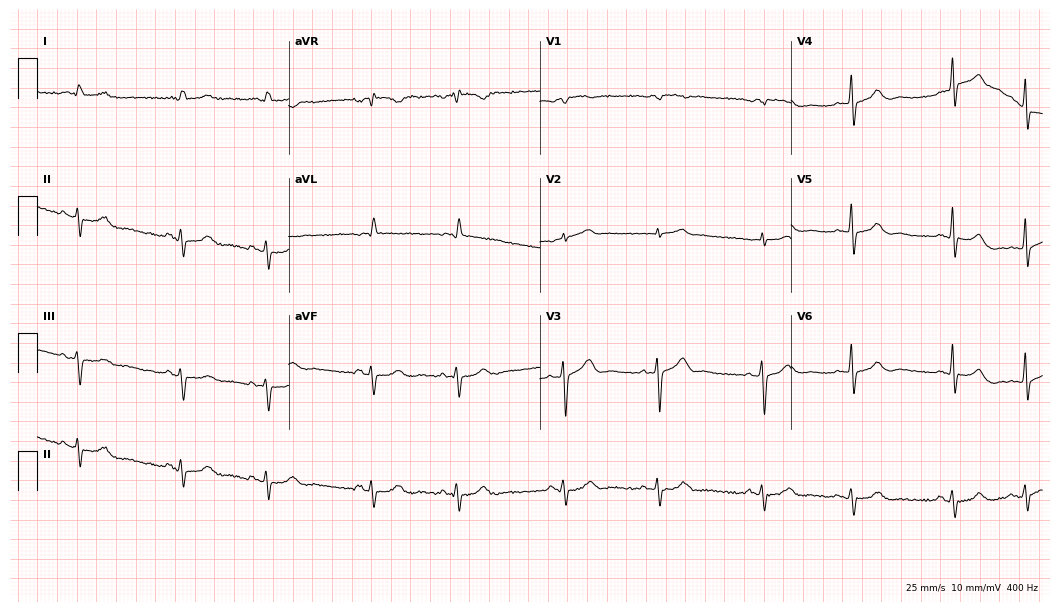
Electrocardiogram, a man, 82 years old. Of the six screened findings (first-degree AV block, right bundle branch block (RBBB), left bundle branch block (LBBB), sinus bradycardia, atrial fibrillation (AF), sinus tachycardia), none is recorded.